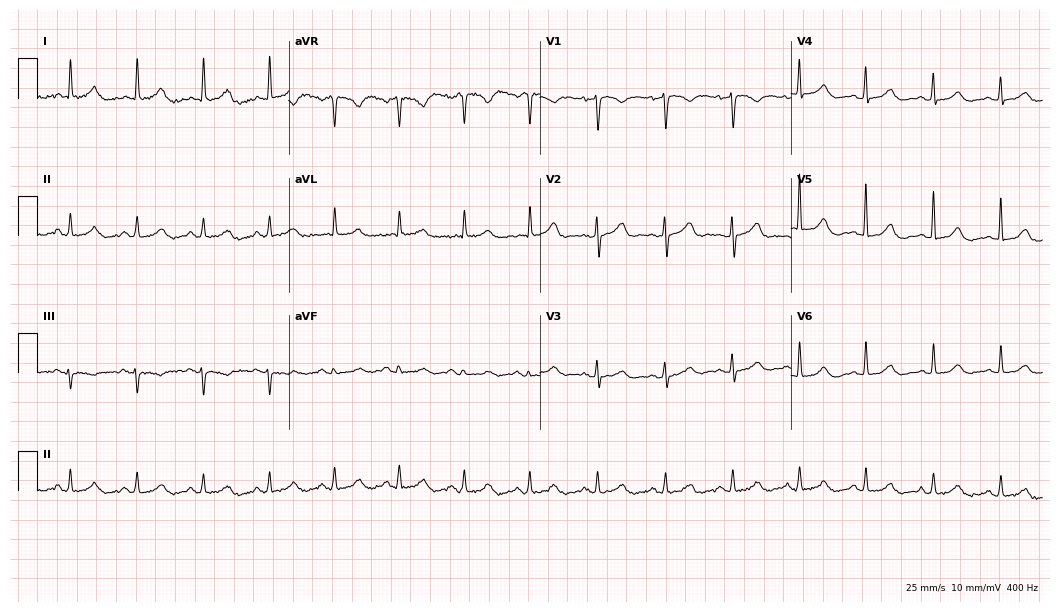
12-lead ECG (10.2-second recording at 400 Hz) from a 74-year-old woman. Labelled as a normal ECG.